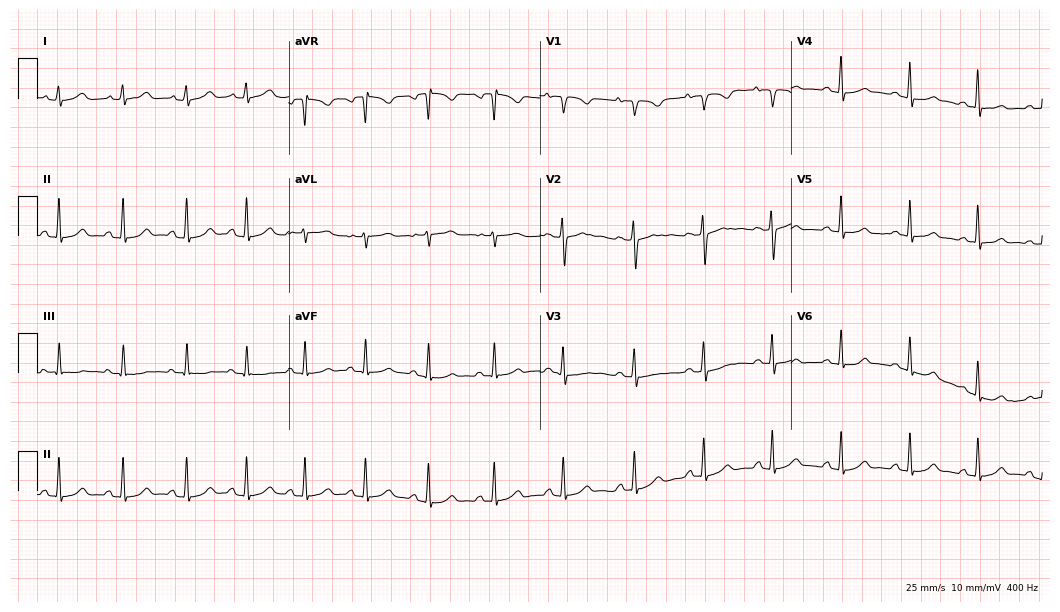
12-lead ECG from a 27-year-old woman (10.2-second recording at 400 Hz). Recorded interpretation: within normal limits.